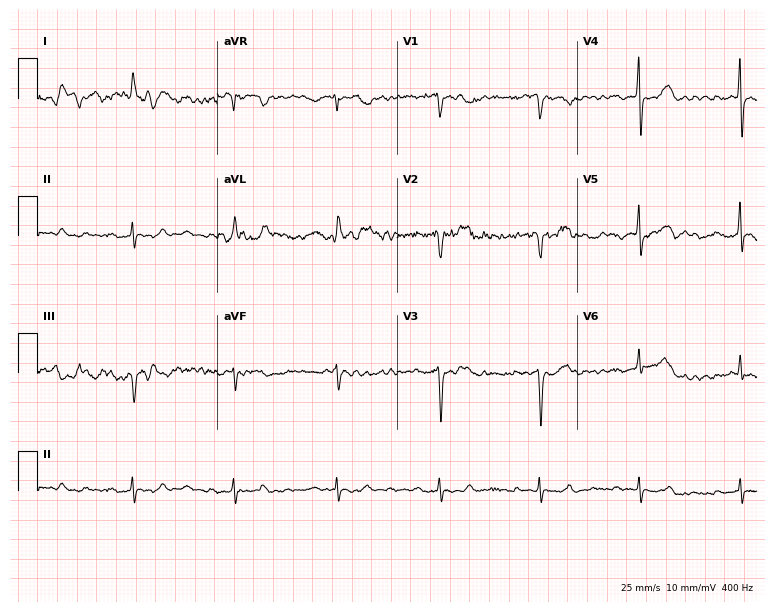
12-lead ECG from a man, 83 years old. Shows first-degree AV block.